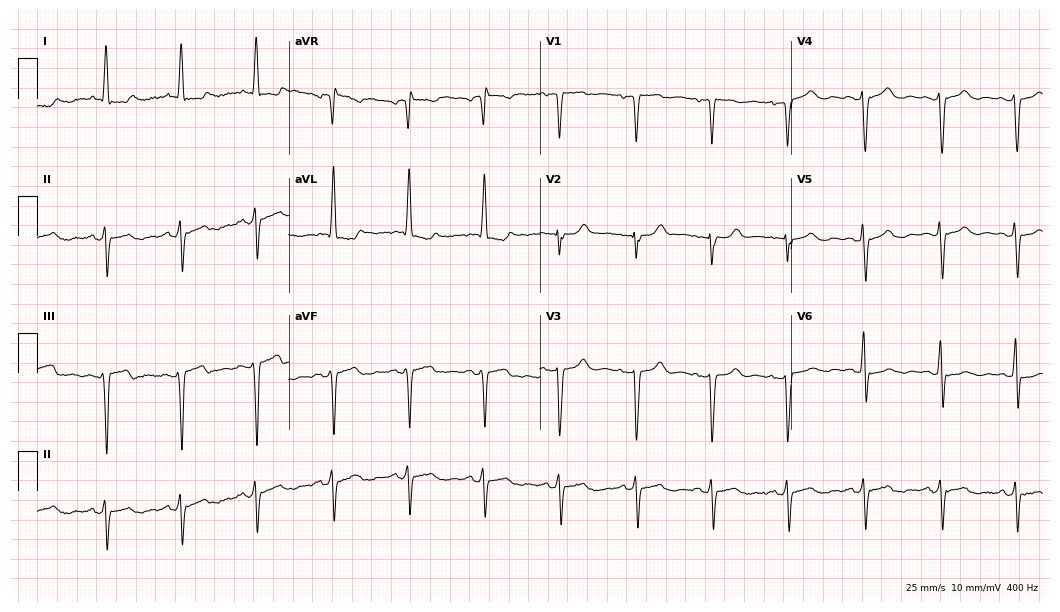
Electrocardiogram (10.2-second recording at 400 Hz), an 83-year-old woman. Of the six screened findings (first-degree AV block, right bundle branch block, left bundle branch block, sinus bradycardia, atrial fibrillation, sinus tachycardia), none is recorded.